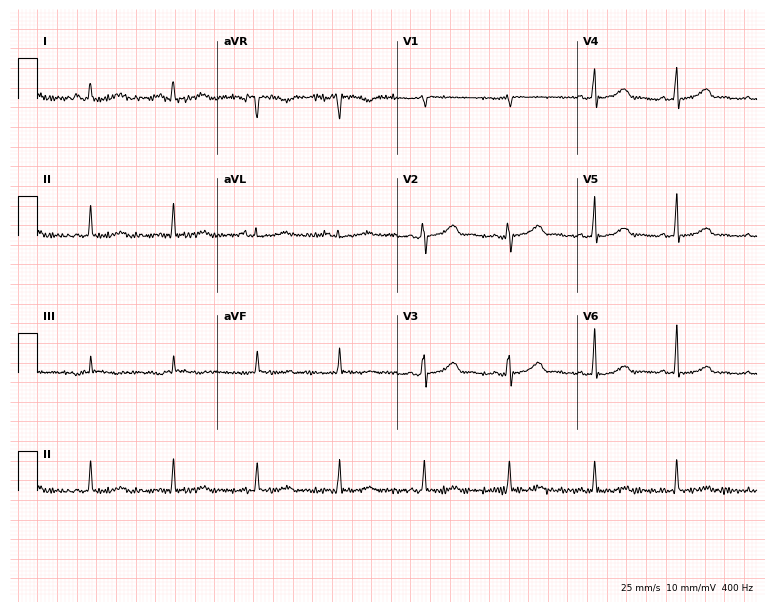
Standard 12-lead ECG recorded from a woman, 35 years old (7.3-second recording at 400 Hz). Read as a normal ECG.